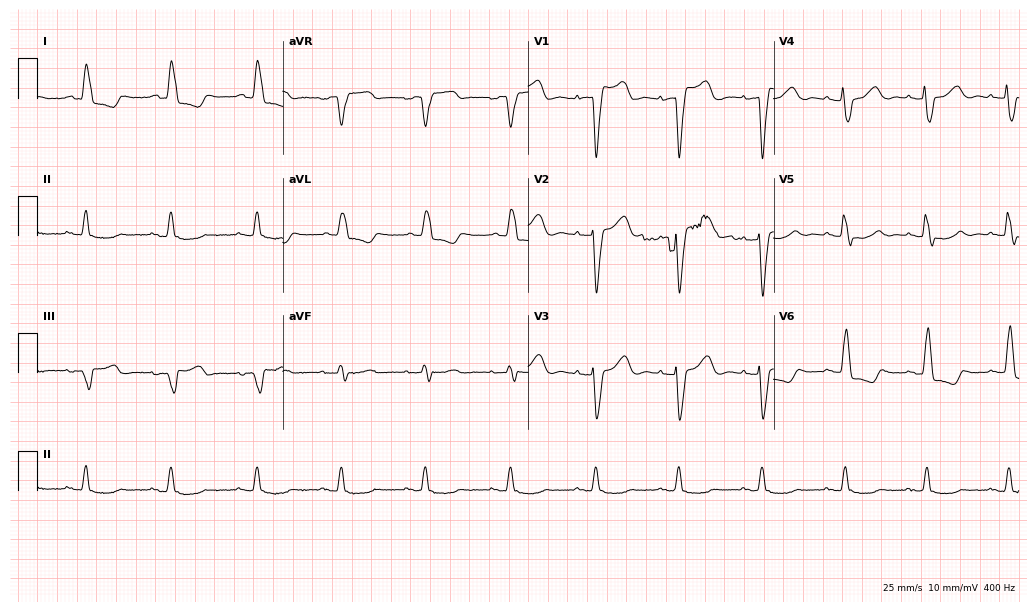
Resting 12-lead electrocardiogram. Patient: a 66-year-old female. The tracing shows left bundle branch block.